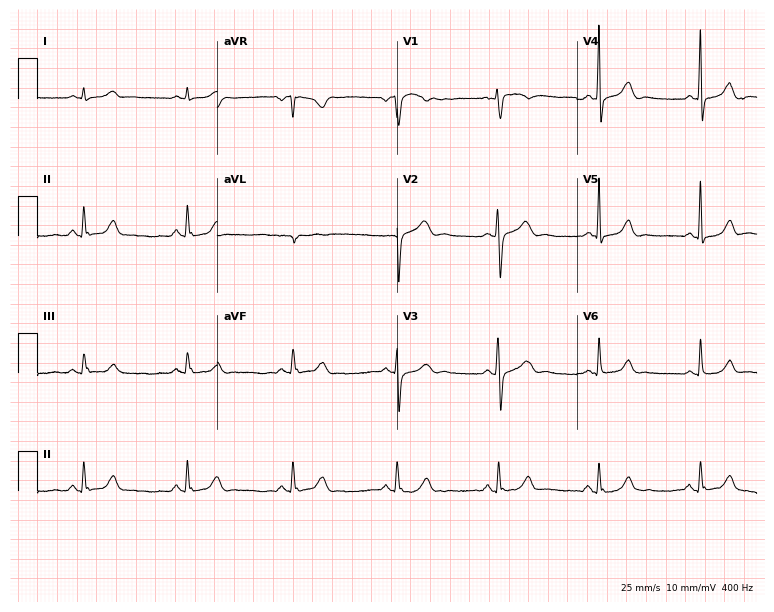
ECG — a 54-year-old female. Labelled as a normal ECG.